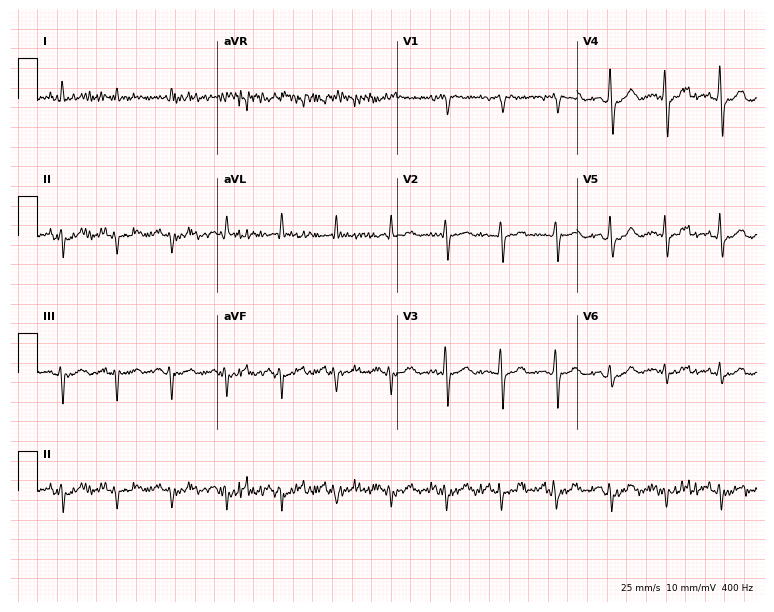
Electrocardiogram, a male patient, 61 years old. Of the six screened findings (first-degree AV block, right bundle branch block, left bundle branch block, sinus bradycardia, atrial fibrillation, sinus tachycardia), none is recorded. Findings outside these six are not listed.